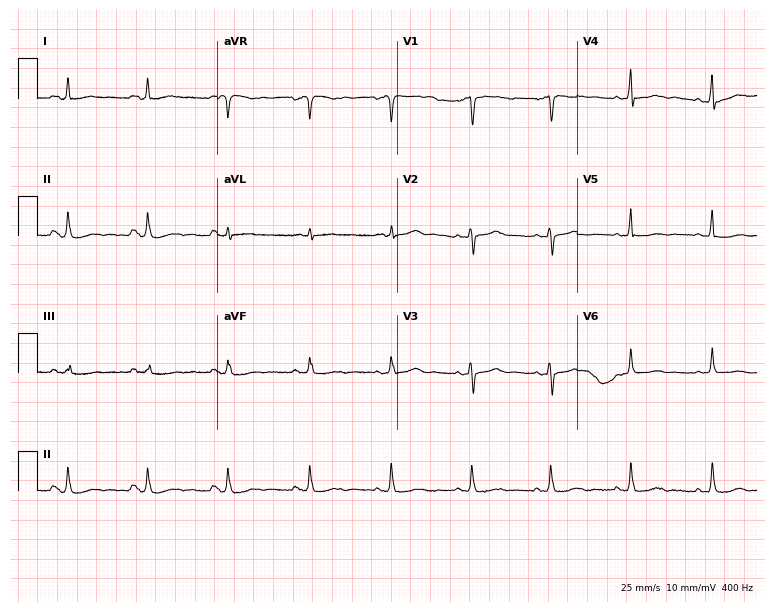
Standard 12-lead ECG recorded from a 60-year-old female patient (7.3-second recording at 400 Hz). None of these six findings is recorded: first-degree AV block, right bundle branch block, left bundle branch block, sinus bradycardia, atrial fibrillation, sinus tachycardia. Other findings, if any, are not listed.